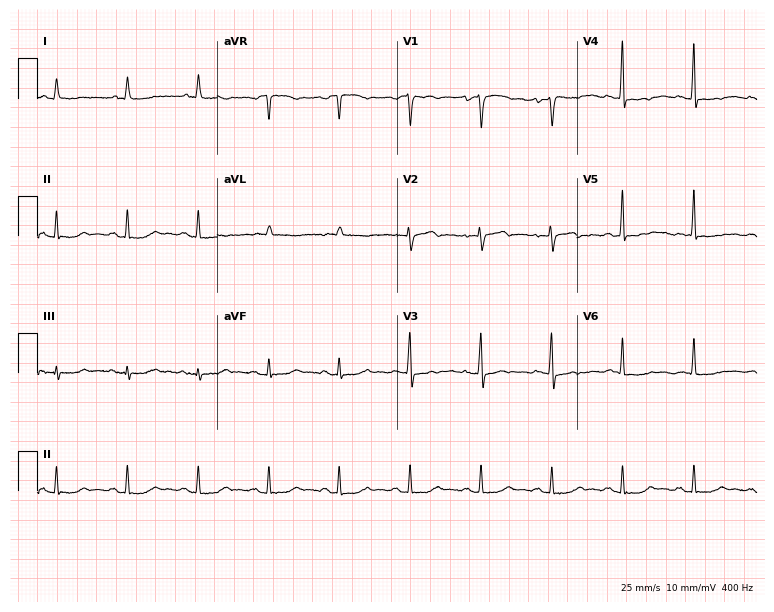
12-lead ECG (7.3-second recording at 400 Hz) from a 79-year-old woman. Screened for six findings — first-degree AV block, right bundle branch block, left bundle branch block, sinus bradycardia, atrial fibrillation, sinus tachycardia — none is recorded.